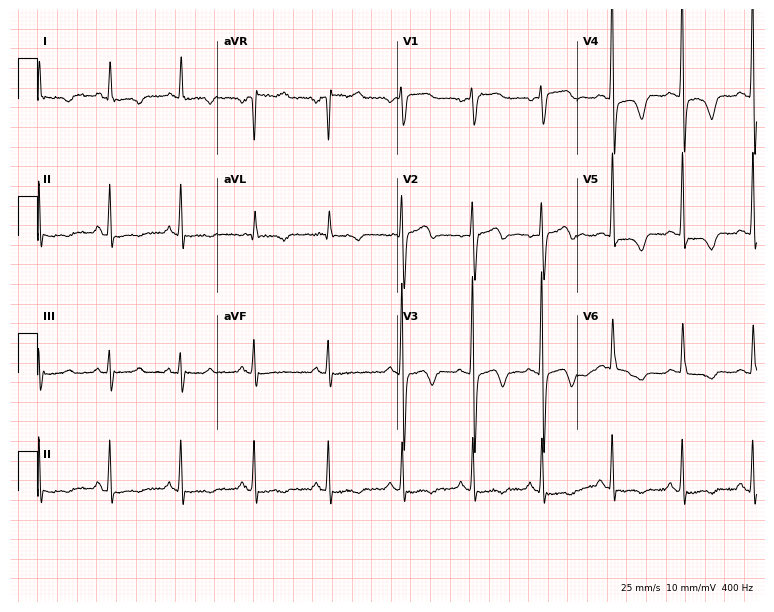
12-lead ECG from a female patient, 57 years old. No first-degree AV block, right bundle branch block, left bundle branch block, sinus bradycardia, atrial fibrillation or sinus tachycardia recorded for this tracing. Findings outside these six are not listed.